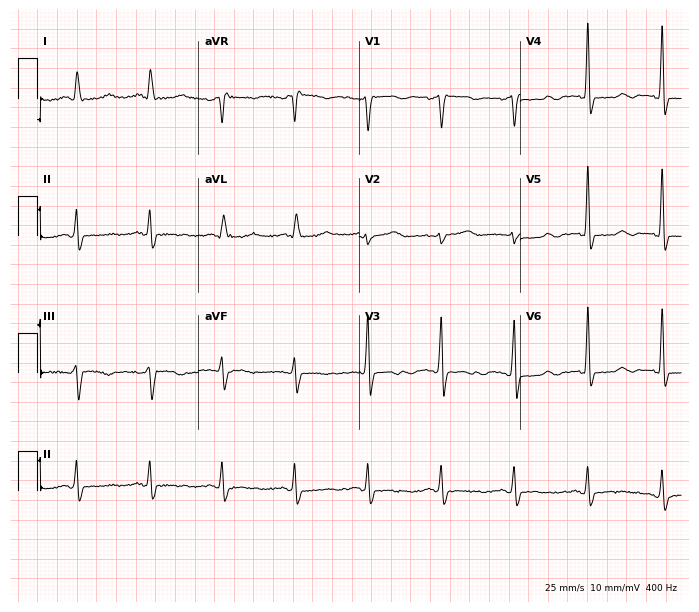
ECG (6.6-second recording at 400 Hz) — a female, 73 years old. Screened for six findings — first-degree AV block, right bundle branch block, left bundle branch block, sinus bradycardia, atrial fibrillation, sinus tachycardia — none is recorded.